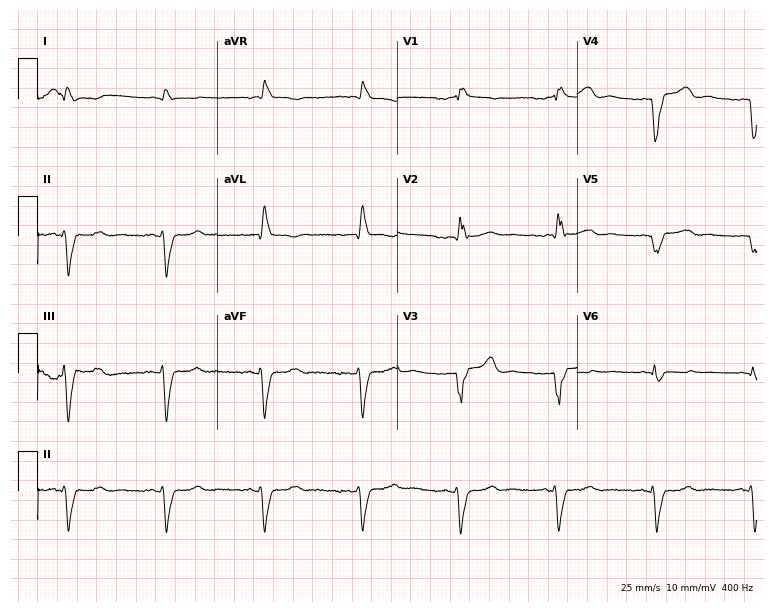
Resting 12-lead electrocardiogram. Patient: a 42-year-old male. The tracing shows right bundle branch block (RBBB).